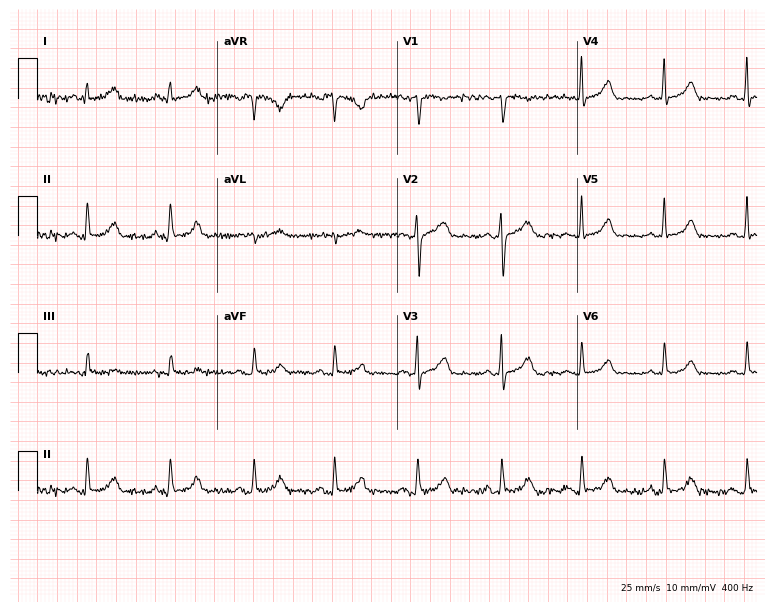
Standard 12-lead ECG recorded from a female patient, 28 years old. None of these six findings is recorded: first-degree AV block, right bundle branch block, left bundle branch block, sinus bradycardia, atrial fibrillation, sinus tachycardia. Findings outside these six are not listed.